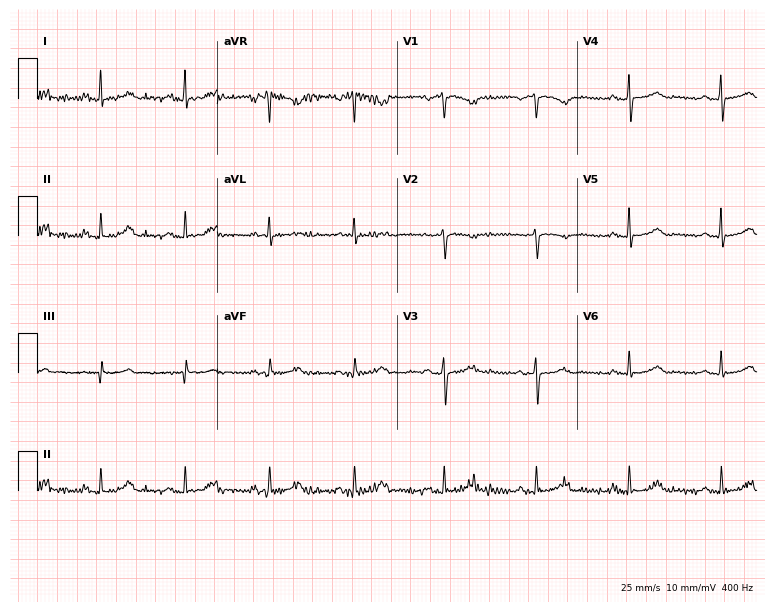
Standard 12-lead ECG recorded from a 60-year-old female (7.3-second recording at 400 Hz). Read as a normal ECG.